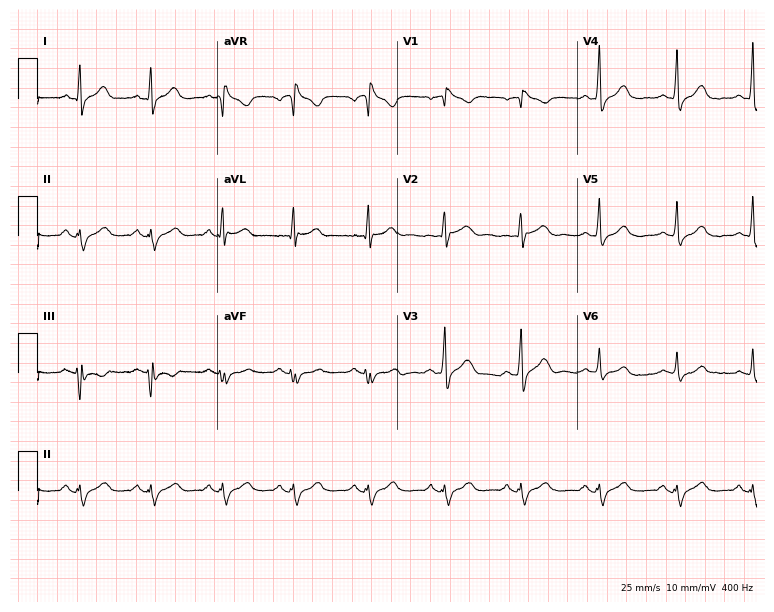
12-lead ECG from a man, 39 years old. Findings include right bundle branch block.